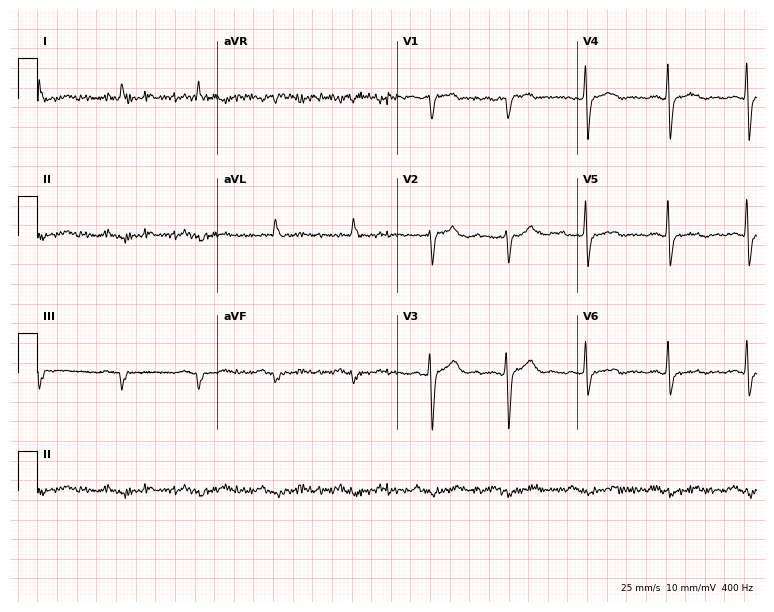
ECG — a male patient, 64 years old. Screened for six findings — first-degree AV block, right bundle branch block, left bundle branch block, sinus bradycardia, atrial fibrillation, sinus tachycardia — none is recorded.